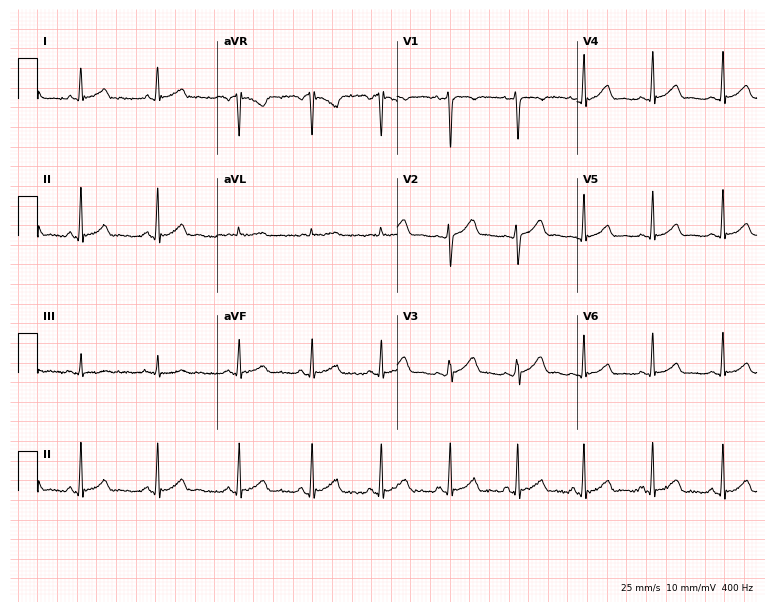
Electrocardiogram, a 26-year-old female patient. Of the six screened findings (first-degree AV block, right bundle branch block, left bundle branch block, sinus bradycardia, atrial fibrillation, sinus tachycardia), none is recorded. Other findings, if any, are not listed.